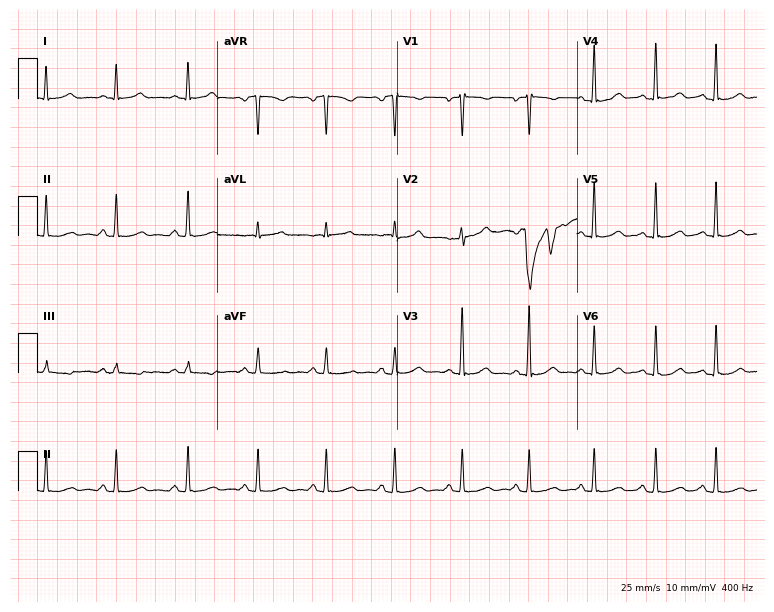
Standard 12-lead ECG recorded from a female patient, 36 years old (7.3-second recording at 400 Hz). None of these six findings is recorded: first-degree AV block, right bundle branch block (RBBB), left bundle branch block (LBBB), sinus bradycardia, atrial fibrillation (AF), sinus tachycardia.